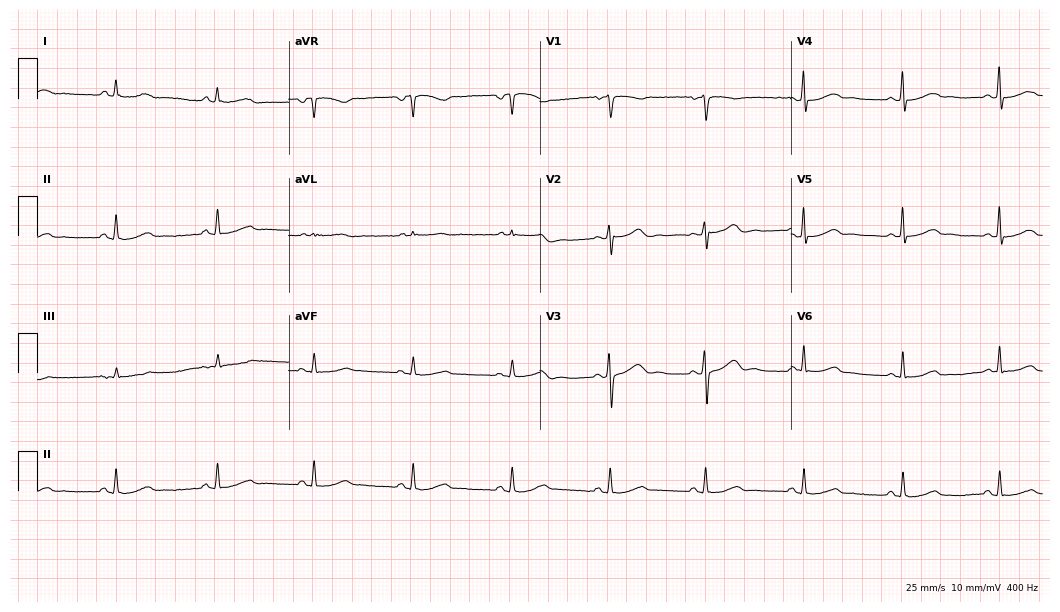
ECG (10.2-second recording at 400 Hz) — a 38-year-old female. Labelled as a normal ECG.